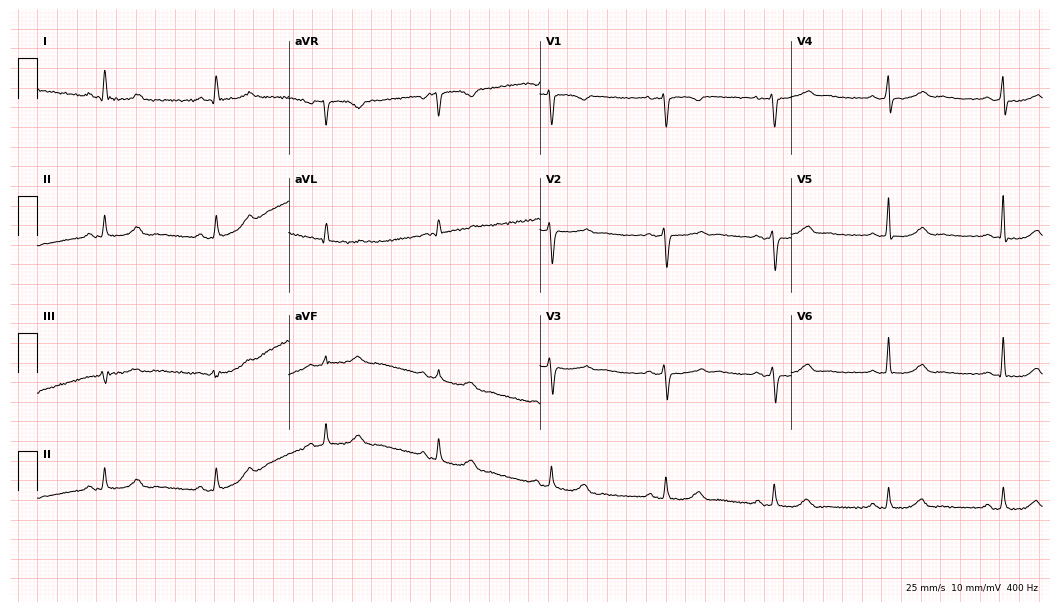
Standard 12-lead ECG recorded from a 52-year-old female patient. Read as a normal ECG.